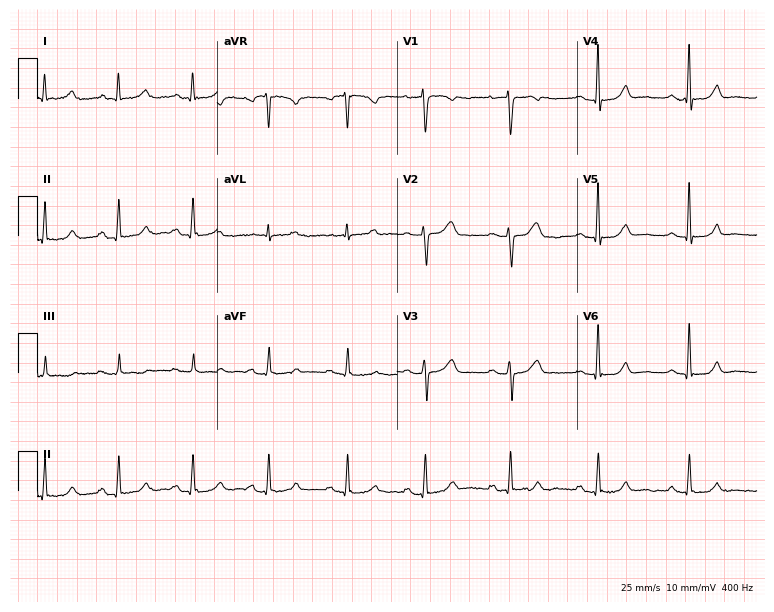
Electrocardiogram (7.3-second recording at 400 Hz), a 50-year-old female. Overall reading on record: normal ECG.